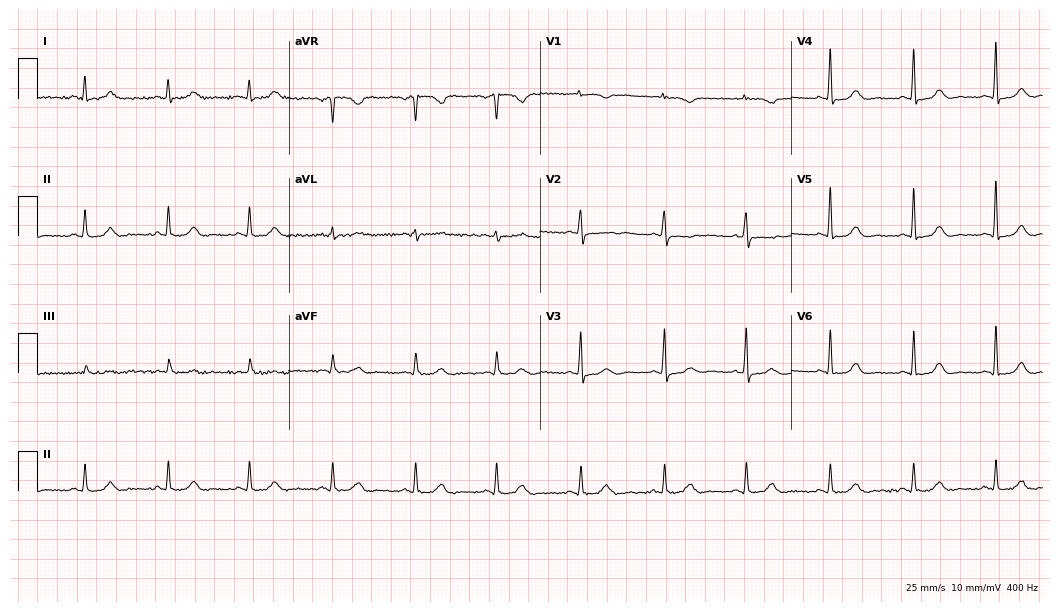
Standard 12-lead ECG recorded from a 73-year-old woman (10.2-second recording at 400 Hz). None of these six findings is recorded: first-degree AV block, right bundle branch block (RBBB), left bundle branch block (LBBB), sinus bradycardia, atrial fibrillation (AF), sinus tachycardia. Other findings, if any, are not listed.